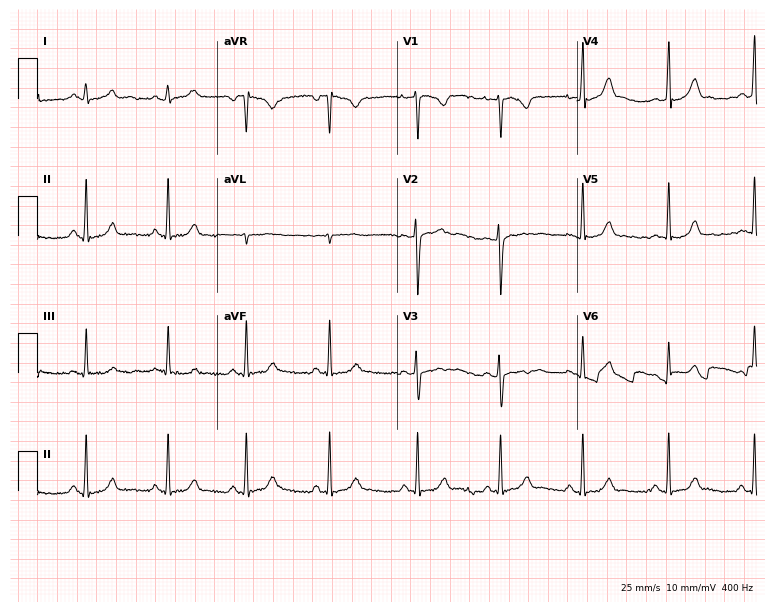
Electrocardiogram, a 20-year-old female. Of the six screened findings (first-degree AV block, right bundle branch block (RBBB), left bundle branch block (LBBB), sinus bradycardia, atrial fibrillation (AF), sinus tachycardia), none is recorded.